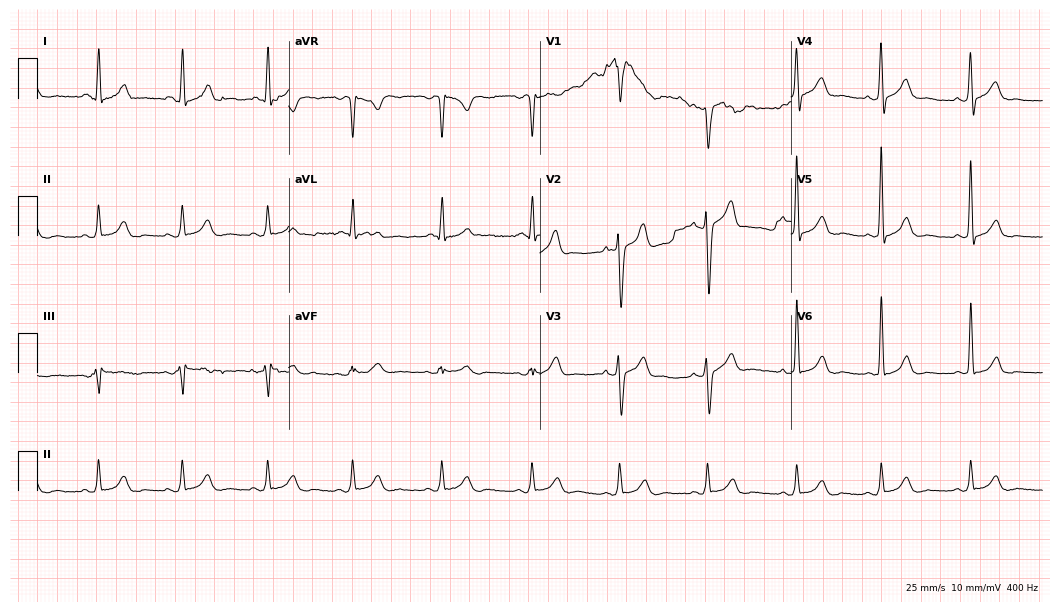
ECG — a 43-year-old male. Labelled as a normal ECG.